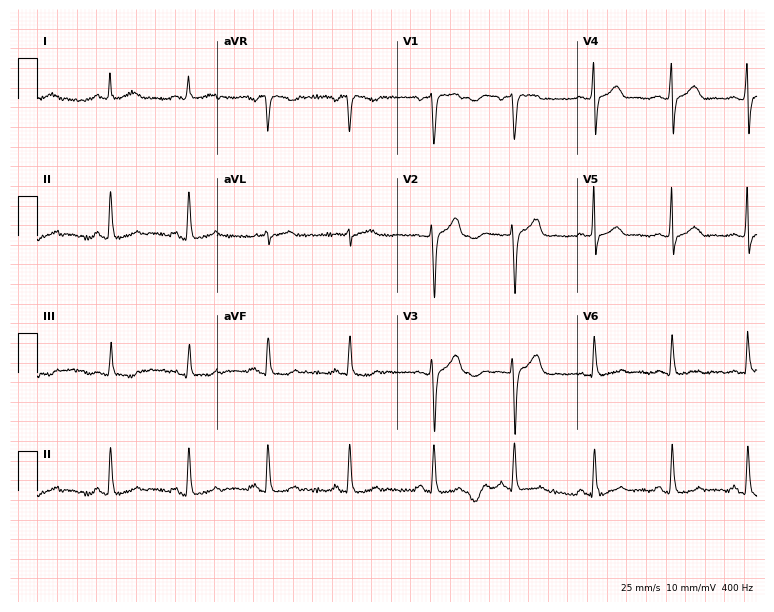
12-lead ECG (7.3-second recording at 400 Hz) from a female, 54 years old. Labelled as a normal ECG.